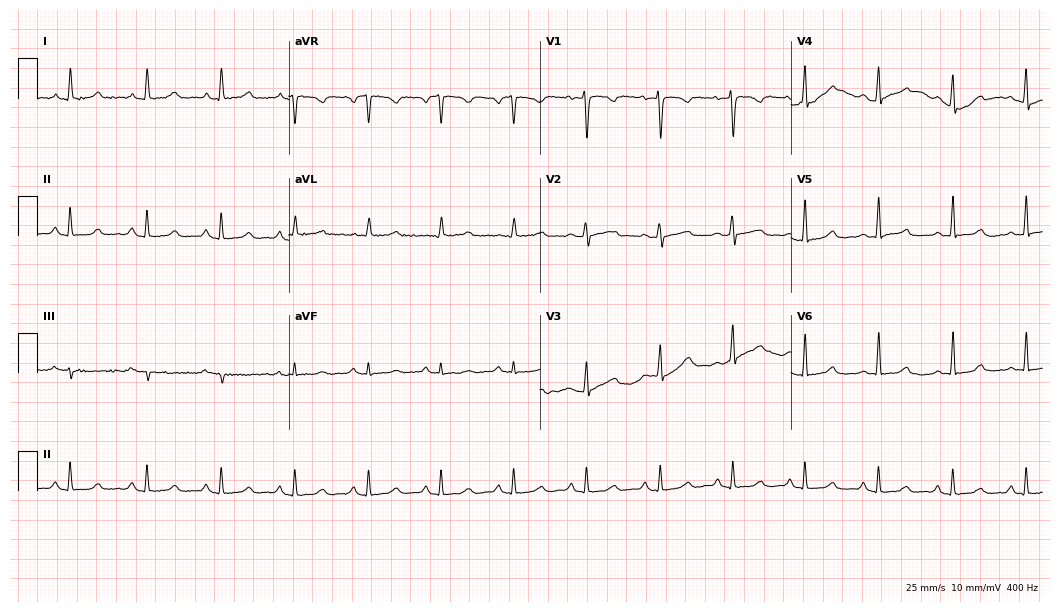
Standard 12-lead ECG recorded from a female patient, 46 years old (10.2-second recording at 400 Hz). Read as a normal ECG.